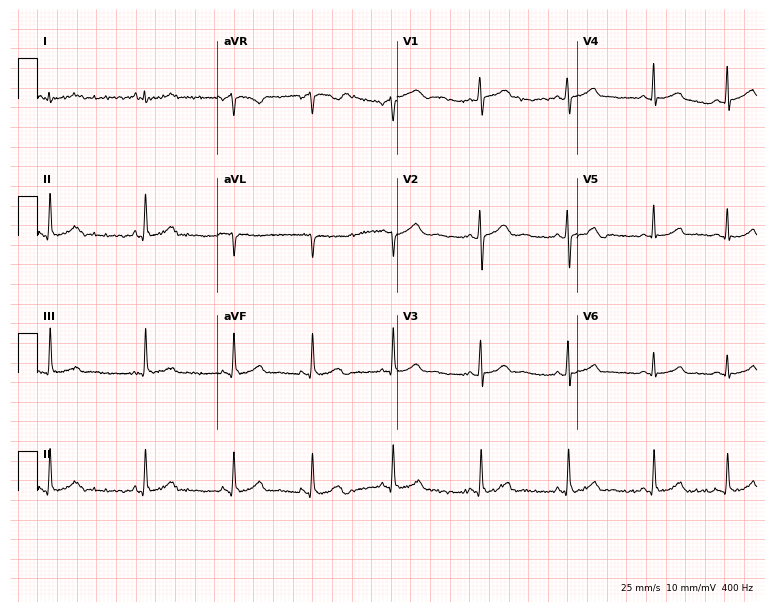
12-lead ECG from a 22-year-old female patient (7.3-second recording at 400 Hz). No first-degree AV block, right bundle branch block (RBBB), left bundle branch block (LBBB), sinus bradycardia, atrial fibrillation (AF) or sinus tachycardia recorded for this tracing. Other findings, if any, are not listed.